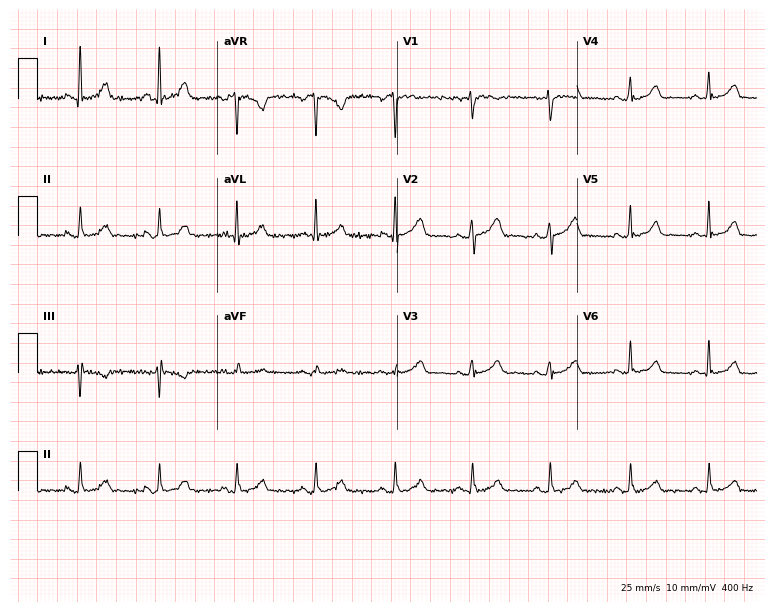
Standard 12-lead ECG recorded from a 36-year-old female (7.3-second recording at 400 Hz). Read as a normal ECG.